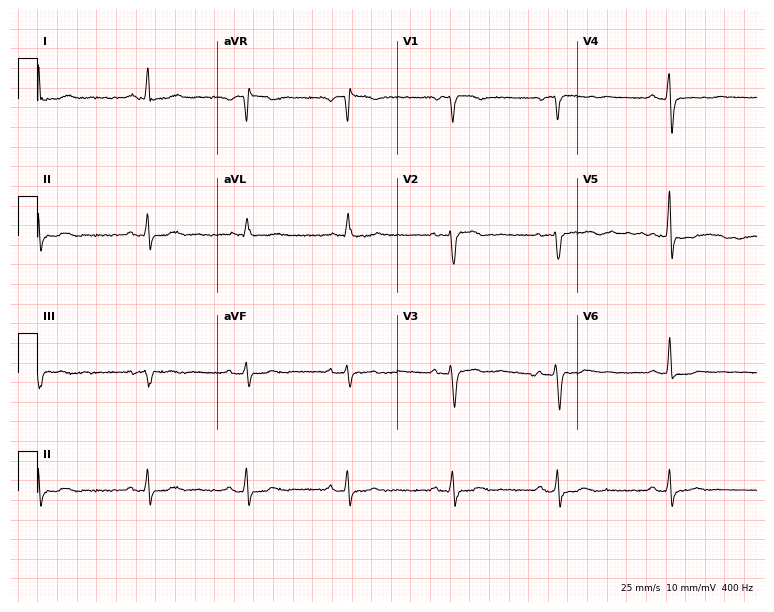
ECG — a female patient, 48 years old. Screened for six findings — first-degree AV block, right bundle branch block (RBBB), left bundle branch block (LBBB), sinus bradycardia, atrial fibrillation (AF), sinus tachycardia — none is recorded.